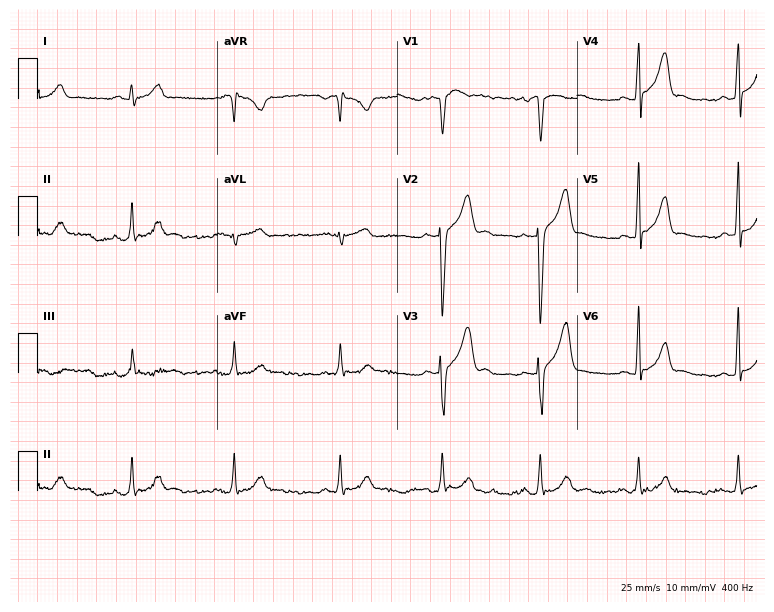
Resting 12-lead electrocardiogram. Patient: a 35-year-old man. Read as a normal ECG.